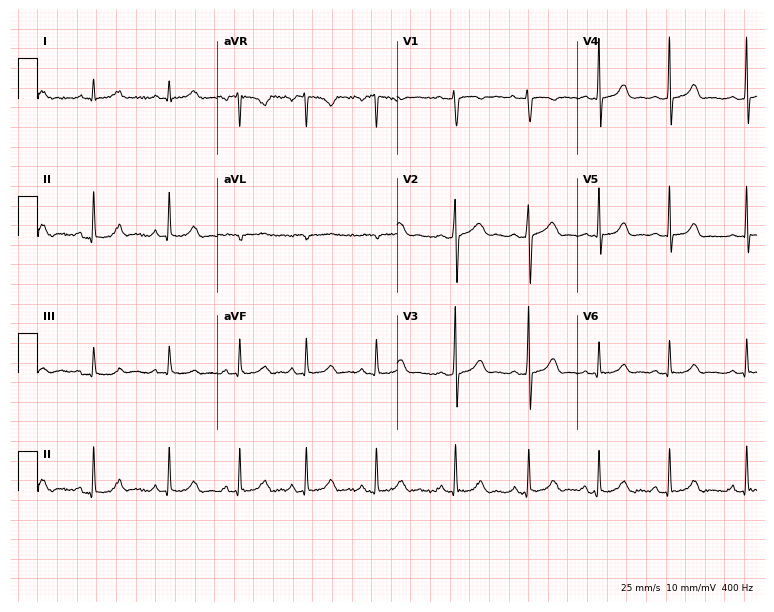
Resting 12-lead electrocardiogram. Patient: a 17-year-old woman. Read as a normal ECG.